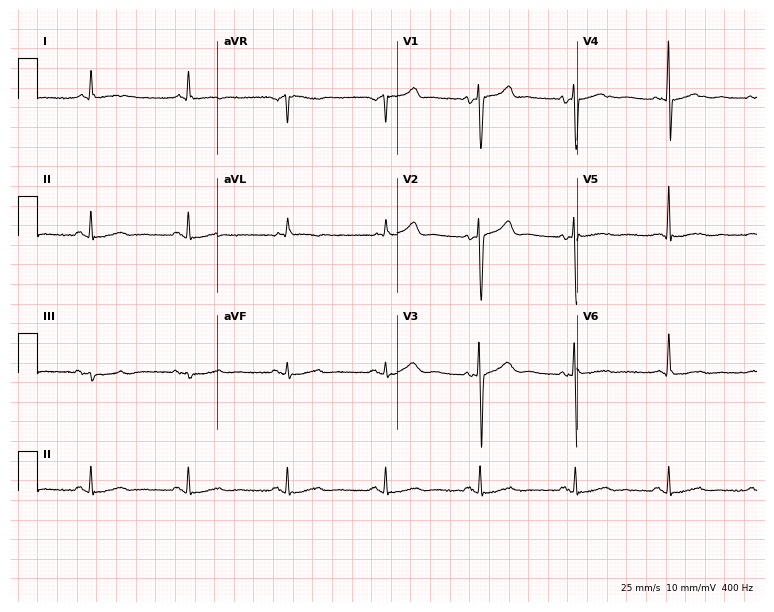
12-lead ECG (7.3-second recording at 400 Hz) from a male, 56 years old. Screened for six findings — first-degree AV block, right bundle branch block, left bundle branch block, sinus bradycardia, atrial fibrillation, sinus tachycardia — none is recorded. Other findings, if any, are not listed.